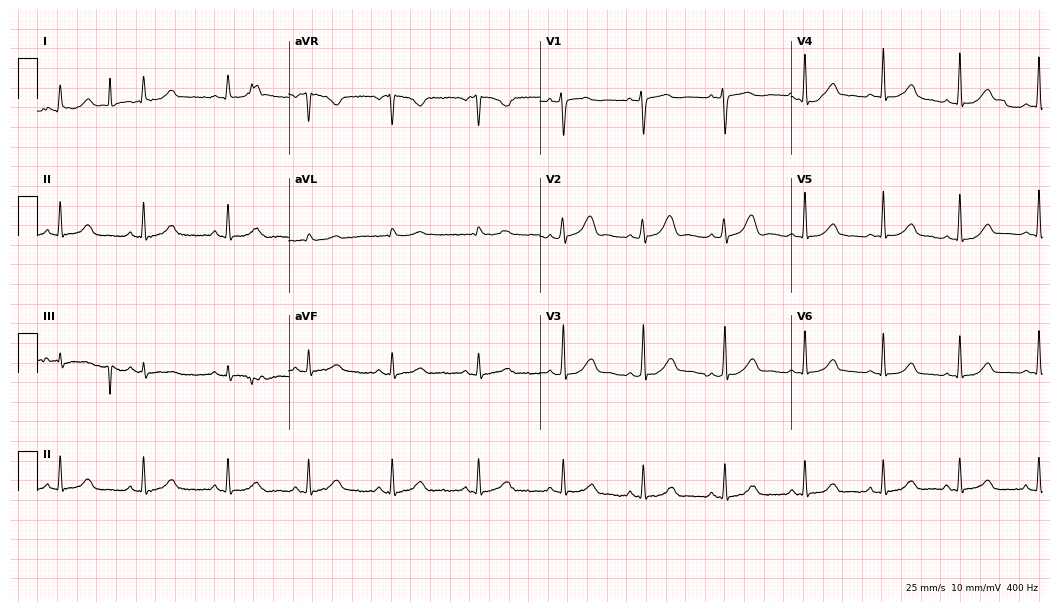
Electrocardiogram (10.2-second recording at 400 Hz), a 39-year-old female patient. Overall reading on record: normal ECG.